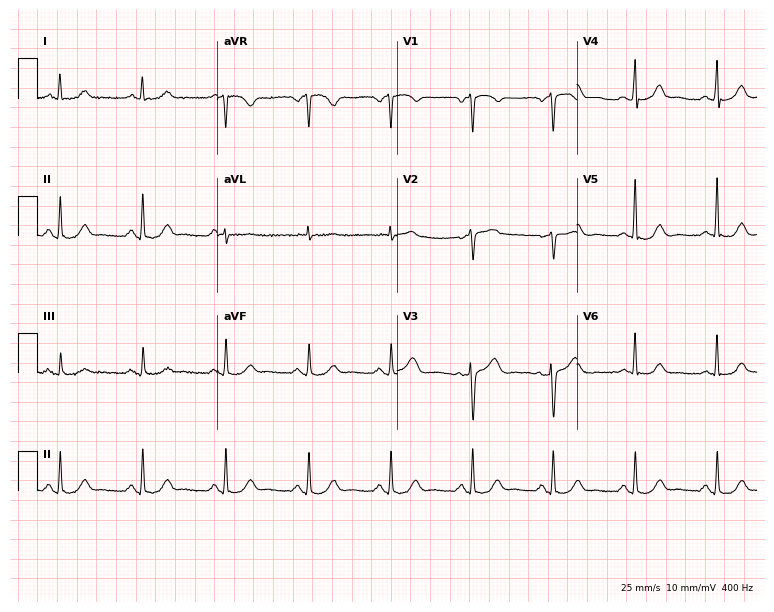
Resting 12-lead electrocardiogram (7.3-second recording at 400 Hz). Patient: a 65-year-old male. None of these six findings is recorded: first-degree AV block, right bundle branch block, left bundle branch block, sinus bradycardia, atrial fibrillation, sinus tachycardia.